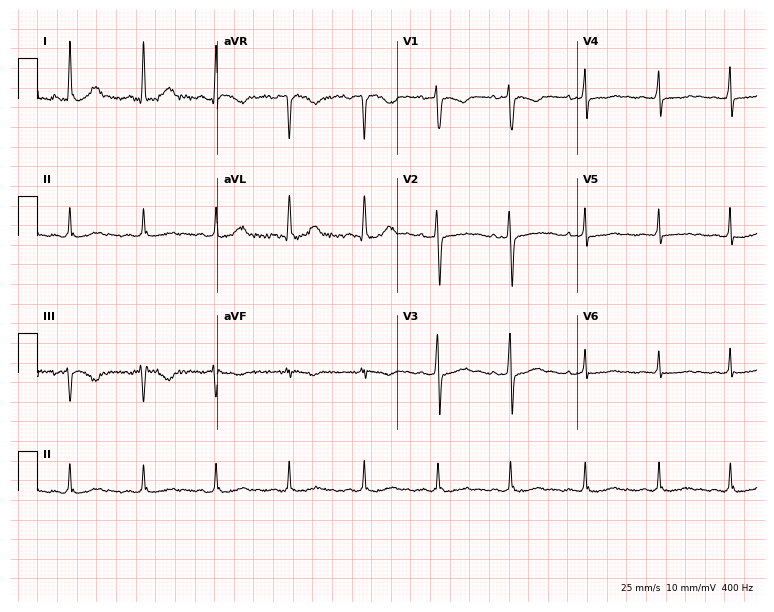
Standard 12-lead ECG recorded from a woman, 35 years old (7.3-second recording at 400 Hz). Read as a normal ECG.